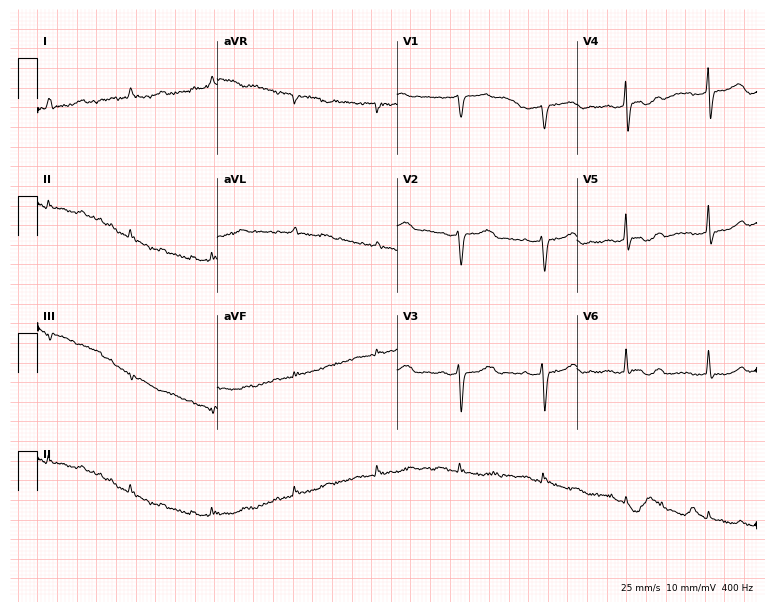
12-lead ECG from an 81-year-old man (7.3-second recording at 400 Hz). No first-degree AV block, right bundle branch block (RBBB), left bundle branch block (LBBB), sinus bradycardia, atrial fibrillation (AF) or sinus tachycardia recorded for this tracing.